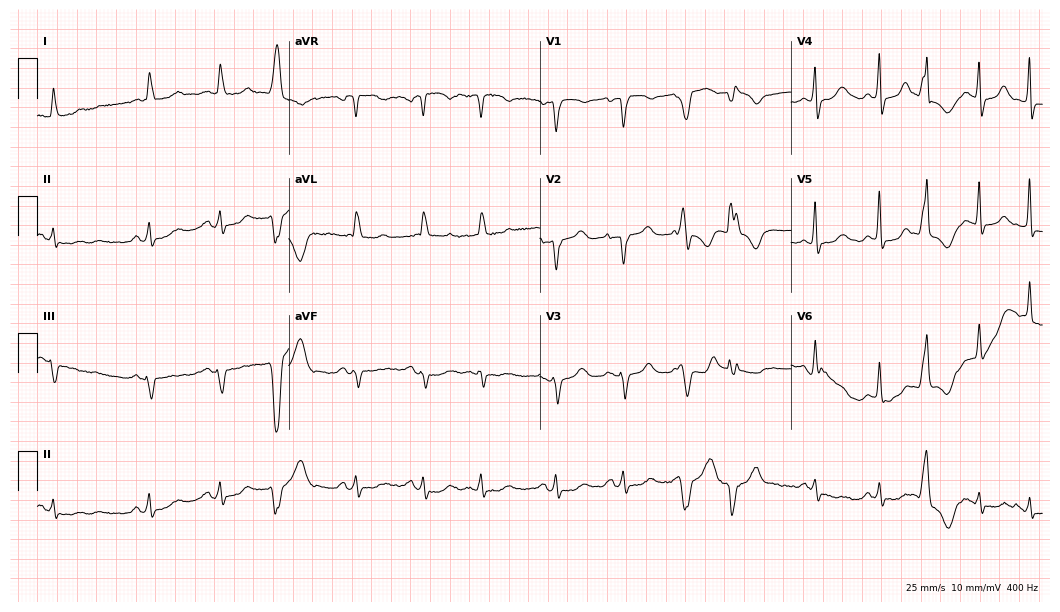
ECG (10.2-second recording at 400 Hz) — a female, 84 years old. Screened for six findings — first-degree AV block, right bundle branch block, left bundle branch block, sinus bradycardia, atrial fibrillation, sinus tachycardia — none is recorded.